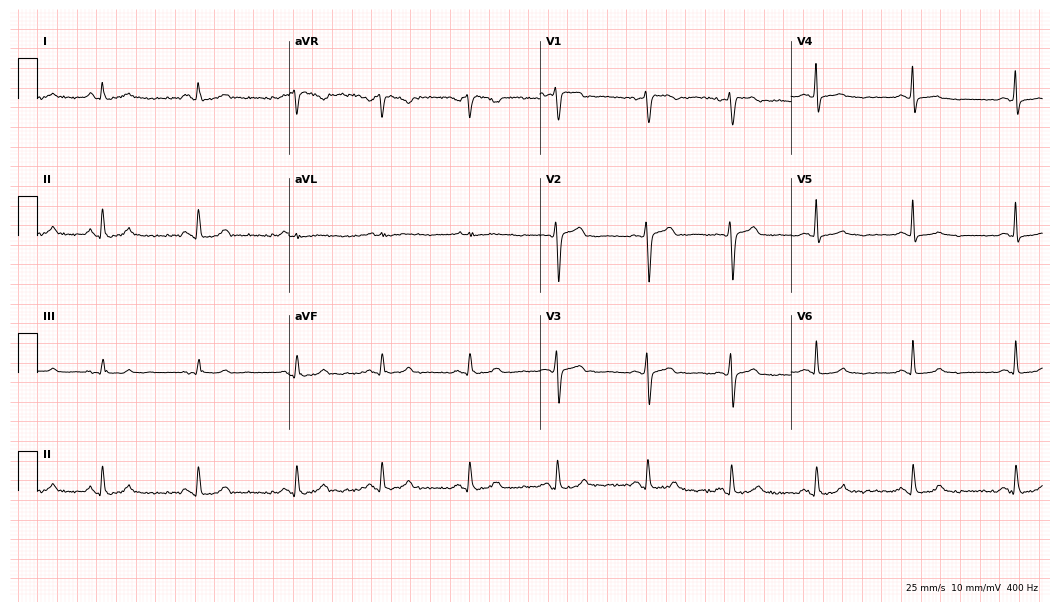
Electrocardiogram, a female patient, 41 years old. Overall reading on record: normal ECG.